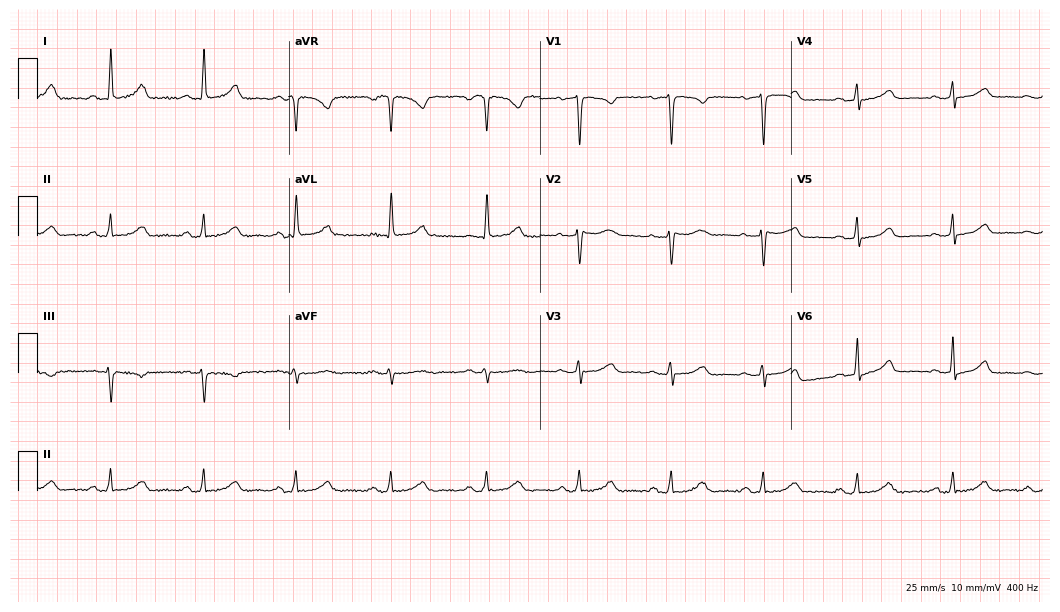
Standard 12-lead ECG recorded from a woman, 60 years old (10.2-second recording at 400 Hz). None of these six findings is recorded: first-degree AV block, right bundle branch block (RBBB), left bundle branch block (LBBB), sinus bradycardia, atrial fibrillation (AF), sinus tachycardia.